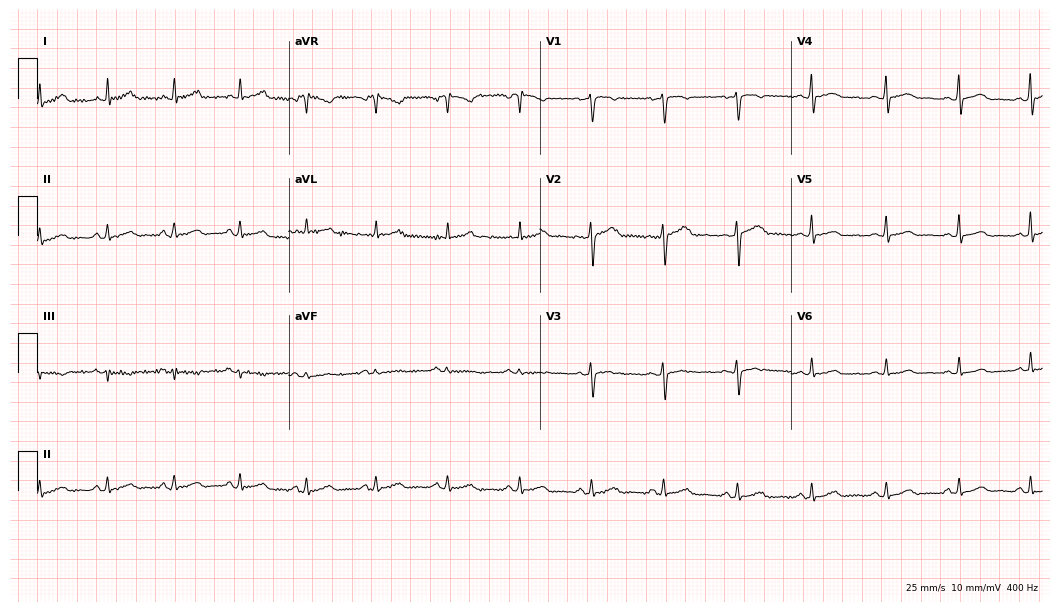
ECG (10.2-second recording at 400 Hz) — a woman, 35 years old. Labelled as a normal ECG.